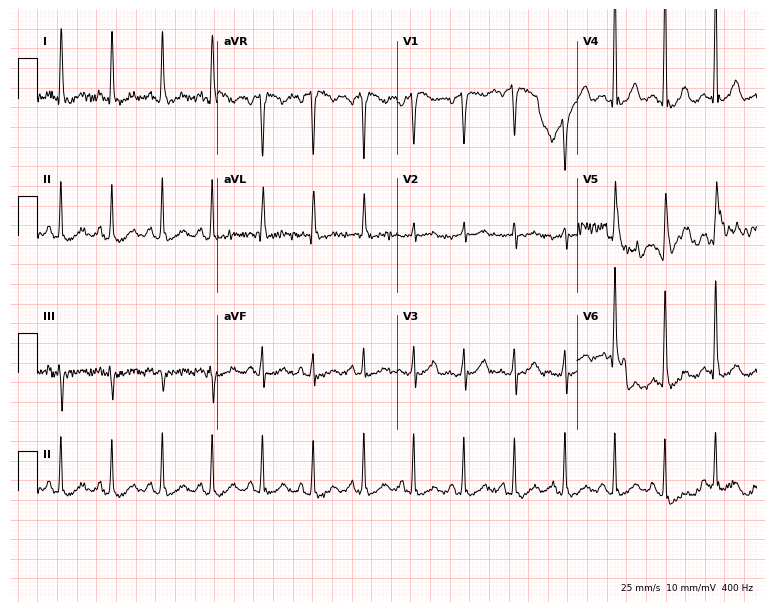
ECG — an 83-year-old woman. Findings include sinus tachycardia (a sinus rate of 100 beats per minute or more).